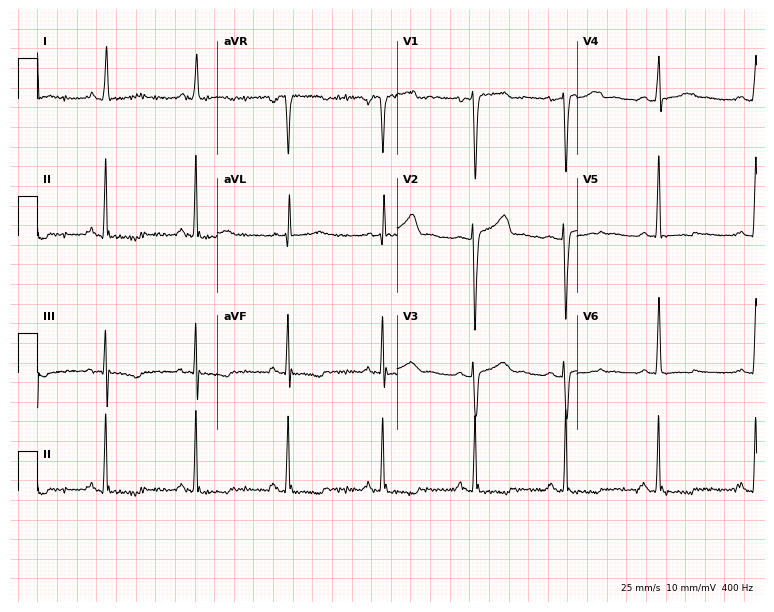
Resting 12-lead electrocardiogram (7.3-second recording at 400 Hz). Patient: a 52-year-old woman. None of these six findings is recorded: first-degree AV block, right bundle branch block, left bundle branch block, sinus bradycardia, atrial fibrillation, sinus tachycardia.